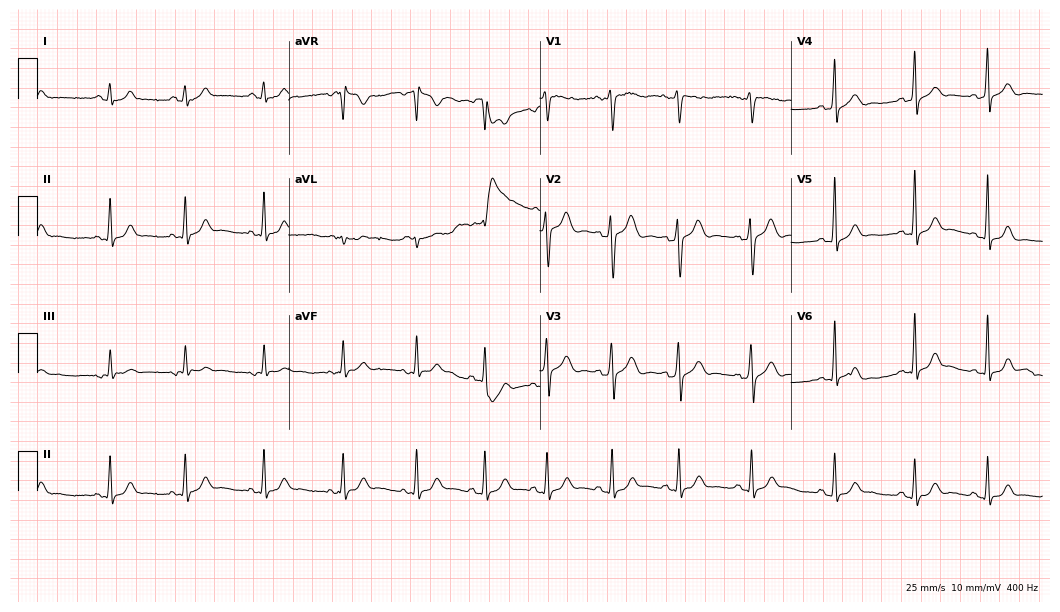
ECG — a 17-year-old man. Labelled as a normal ECG.